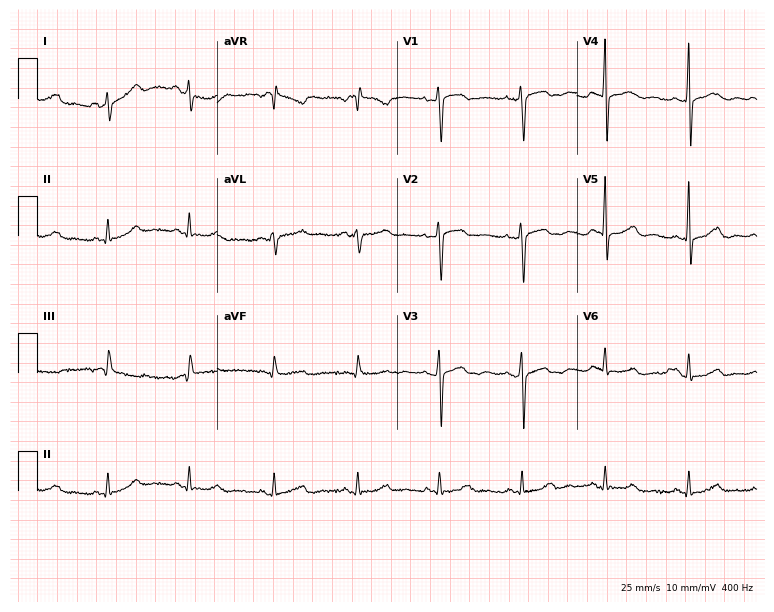
Standard 12-lead ECG recorded from a 51-year-old woman (7.3-second recording at 400 Hz). Read as a normal ECG.